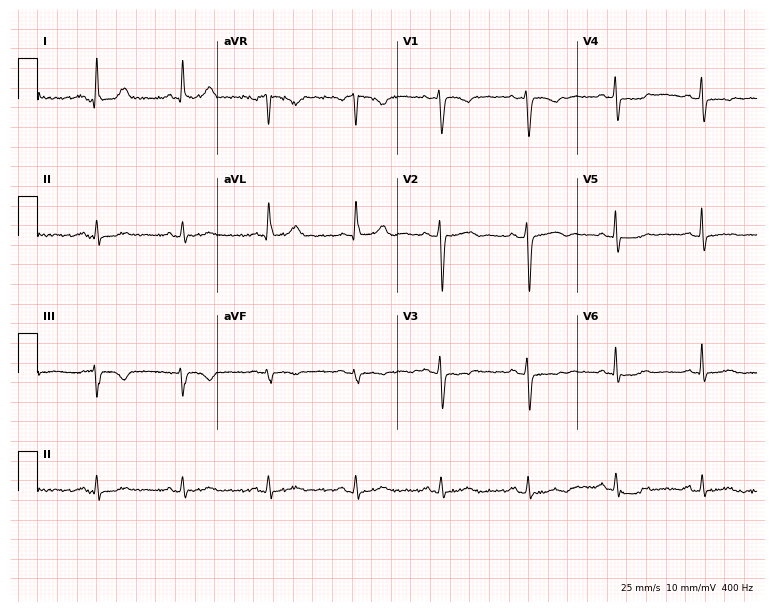
ECG (7.3-second recording at 400 Hz) — a male patient, 46 years old. Screened for six findings — first-degree AV block, right bundle branch block (RBBB), left bundle branch block (LBBB), sinus bradycardia, atrial fibrillation (AF), sinus tachycardia — none is recorded.